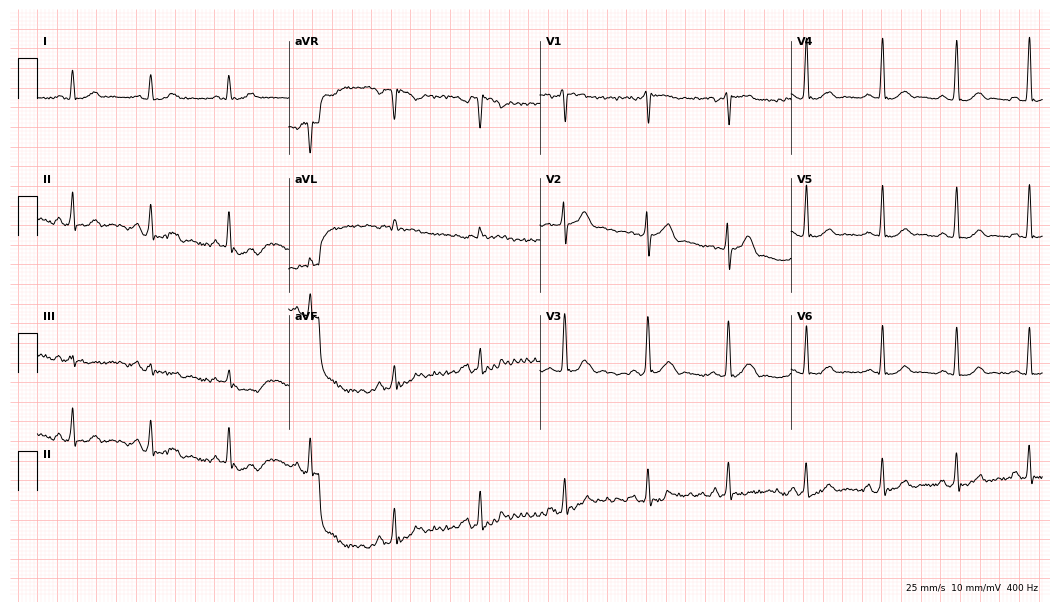
12-lead ECG (10.2-second recording at 400 Hz) from a male patient, 43 years old. Screened for six findings — first-degree AV block, right bundle branch block (RBBB), left bundle branch block (LBBB), sinus bradycardia, atrial fibrillation (AF), sinus tachycardia — none is recorded. Only these six findings were labelled.